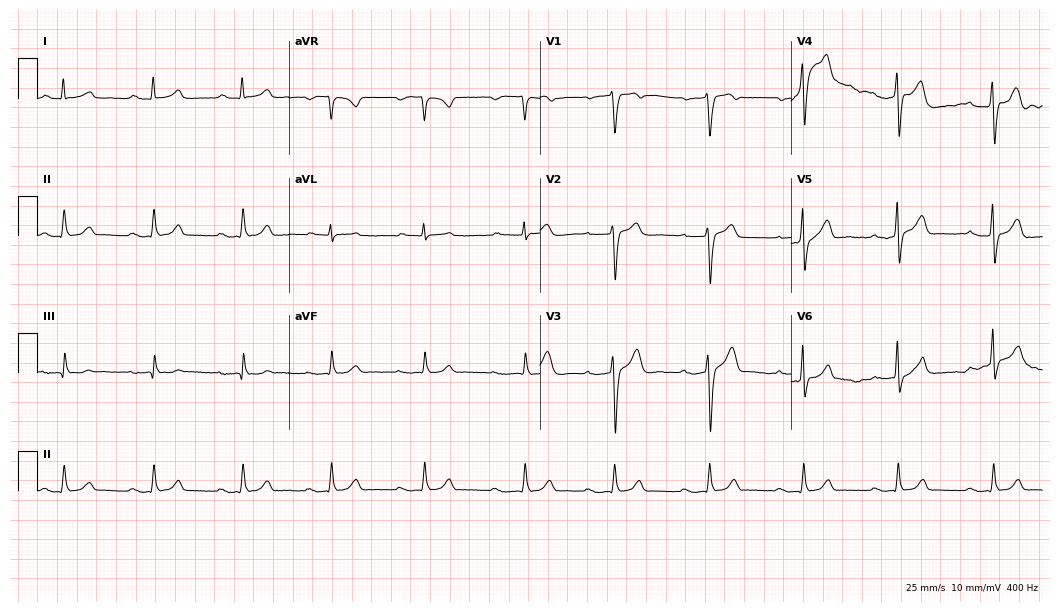
ECG (10.2-second recording at 400 Hz) — a 55-year-old male. Findings include first-degree AV block.